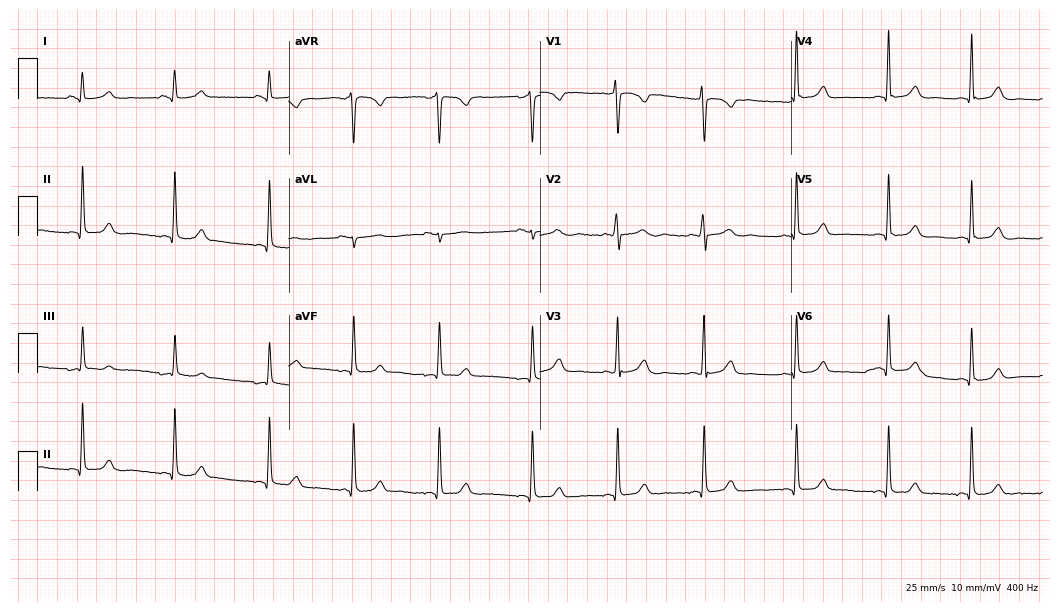
12-lead ECG from a woman, 22 years old. Recorded interpretation: within normal limits.